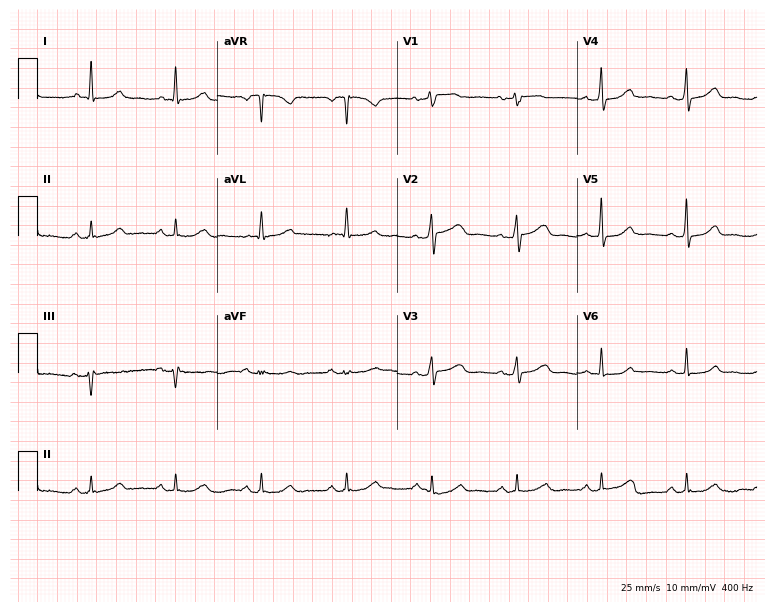
Electrocardiogram, a female, 64 years old. Overall reading on record: normal ECG.